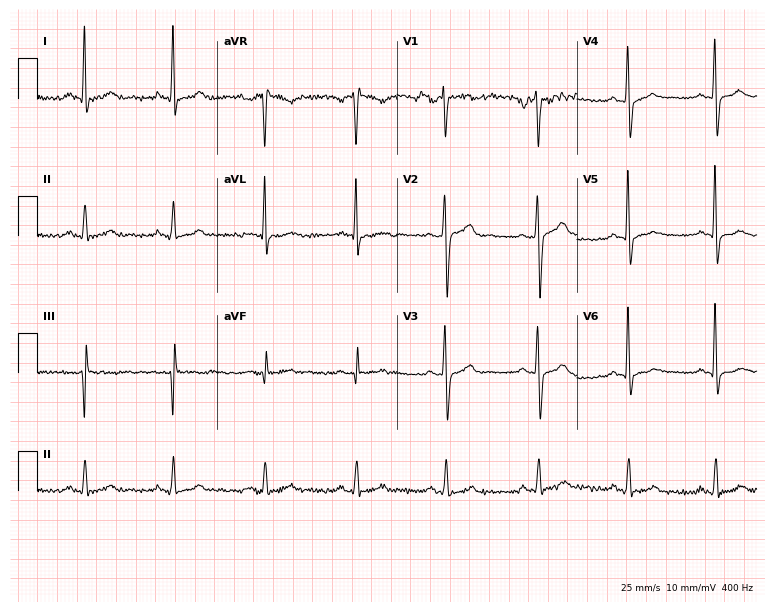
ECG — a 32-year-old male. Screened for six findings — first-degree AV block, right bundle branch block, left bundle branch block, sinus bradycardia, atrial fibrillation, sinus tachycardia — none is recorded. Findings outside these six are not listed.